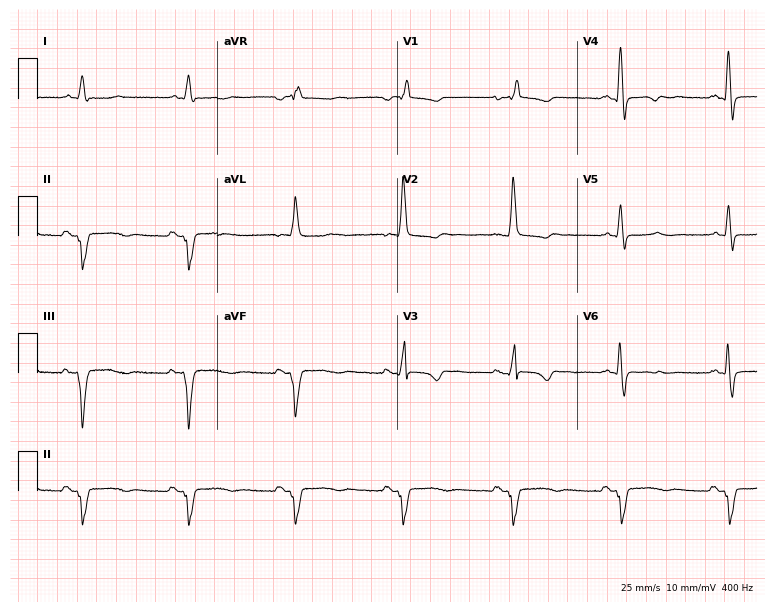
Electrocardiogram, a female, 47 years old. Interpretation includes right bundle branch block.